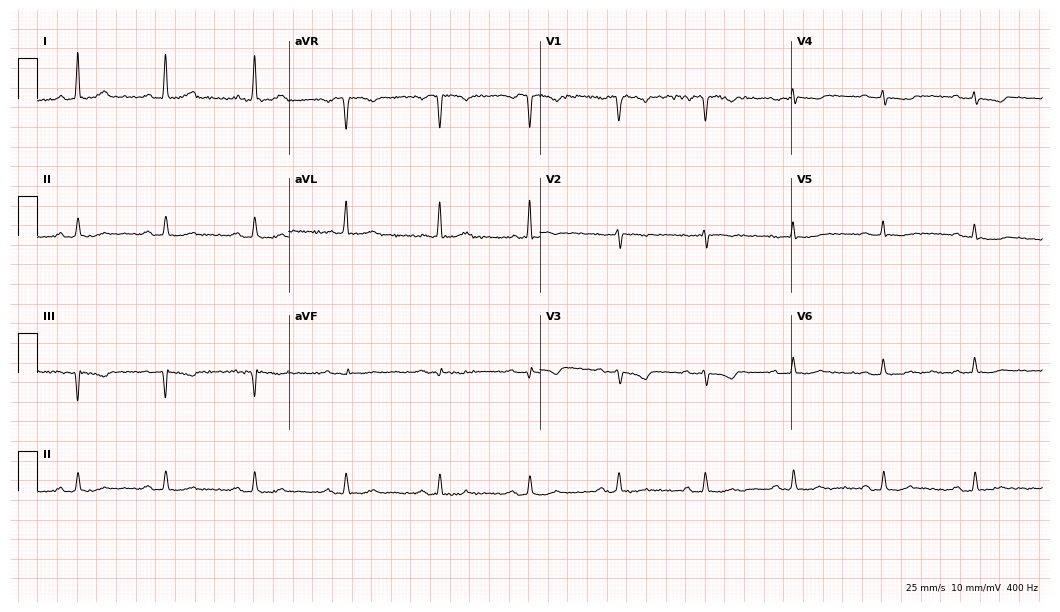
Electrocardiogram (10.2-second recording at 400 Hz), a 52-year-old female patient. Of the six screened findings (first-degree AV block, right bundle branch block, left bundle branch block, sinus bradycardia, atrial fibrillation, sinus tachycardia), none is recorded.